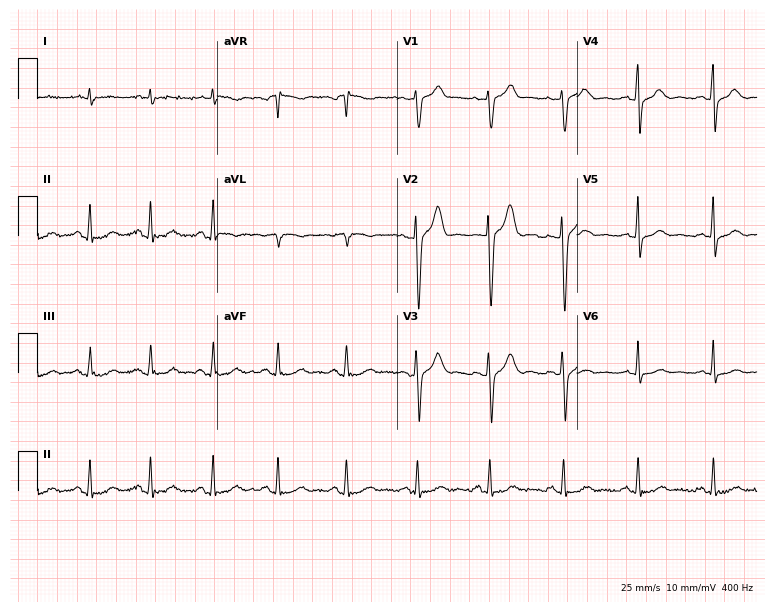
ECG (7.3-second recording at 400 Hz) — a man, 56 years old. Screened for six findings — first-degree AV block, right bundle branch block, left bundle branch block, sinus bradycardia, atrial fibrillation, sinus tachycardia — none is recorded. Only these six findings were labelled.